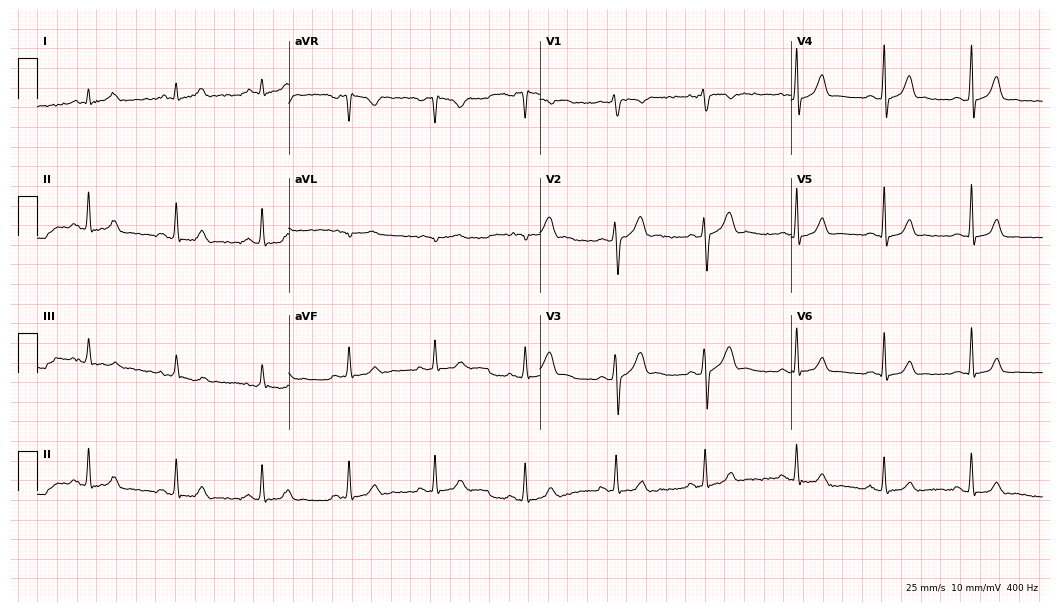
12-lead ECG from a man, 23 years old. Recorded interpretation: within normal limits.